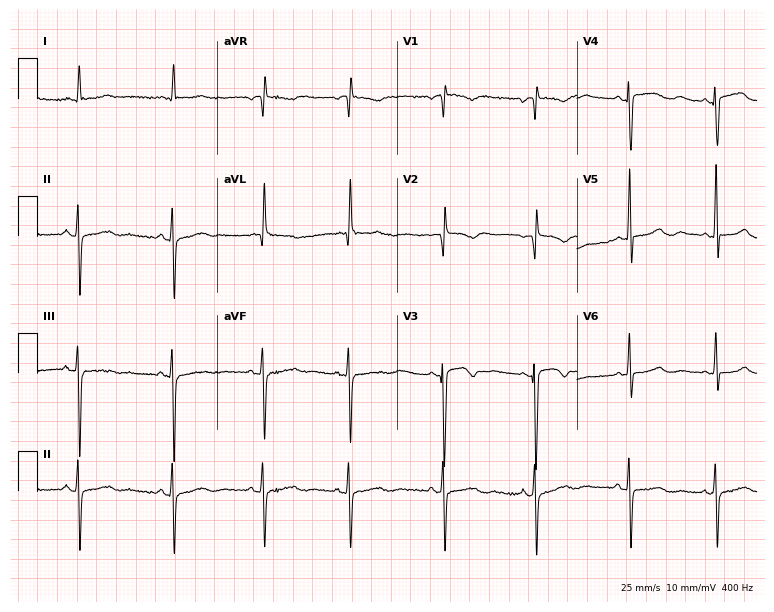
Resting 12-lead electrocardiogram (7.3-second recording at 400 Hz). Patient: a female, 64 years old. None of these six findings is recorded: first-degree AV block, right bundle branch block, left bundle branch block, sinus bradycardia, atrial fibrillation, sinus tachycardia.